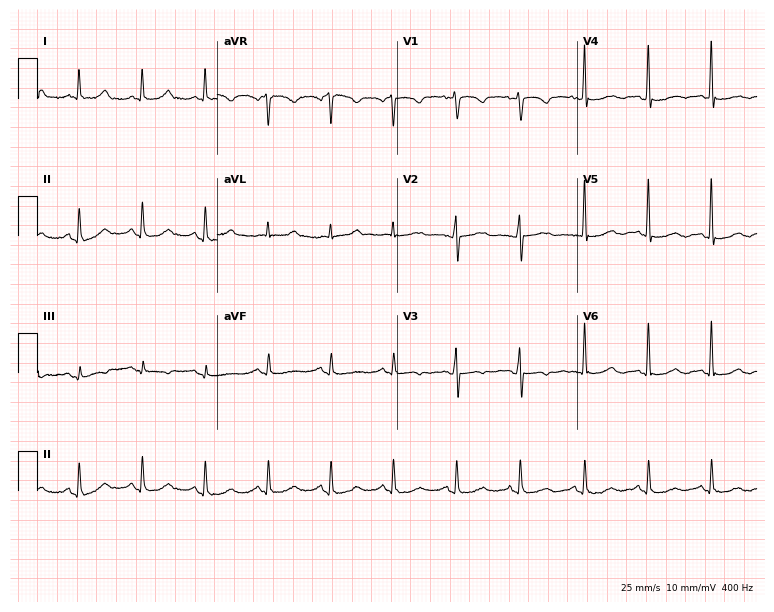
ECG — a 63-year-old female. Screened for six findings — first-degree AV block, right bundle branch block, left bundle branch block, sinus bradycardia, atrial fibrillation, sinus tachycardia — none is recorded. Findings outside these six are not listed.